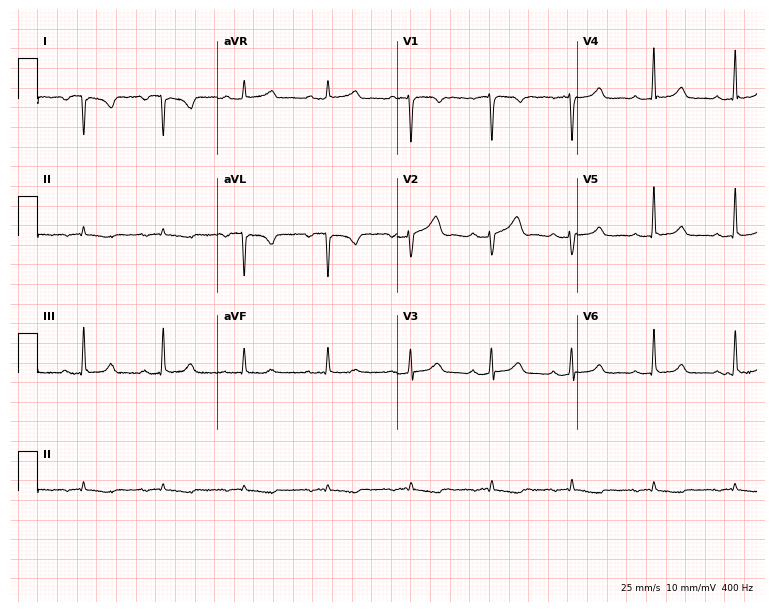
ECG — a female patient, 42 years old. Screened for six findings — first-degree AV block, right bundle branch block, left bundle branch block, sinus bradycardia, atrial fibrillation, sinus tachycardia — none is recorded. Findings outside these six are not listed.